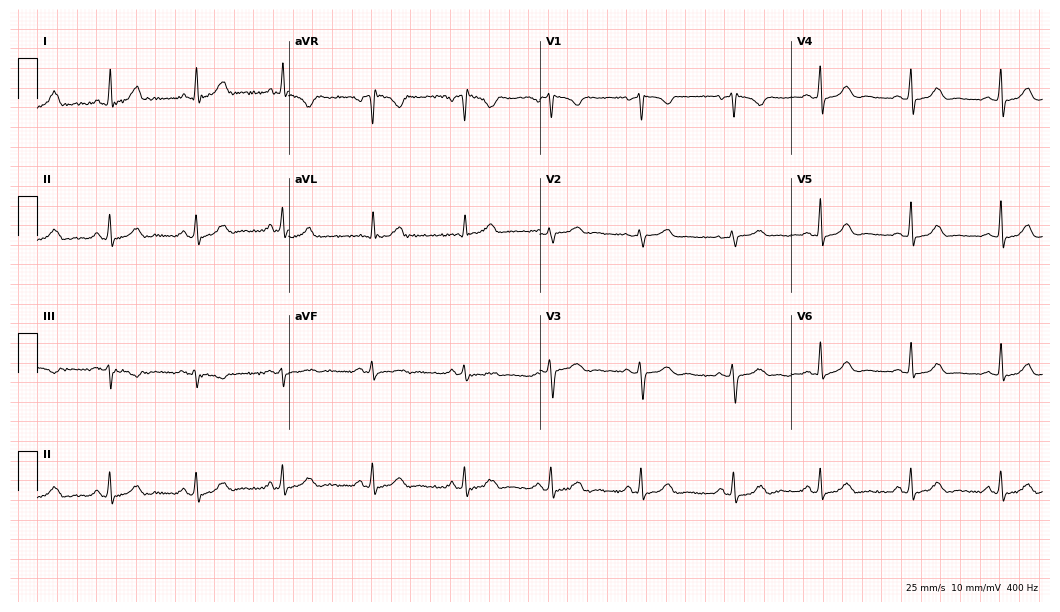
Standard 12-lead ECG recorded from a 49-year-old woman. Read as a normal ECG.